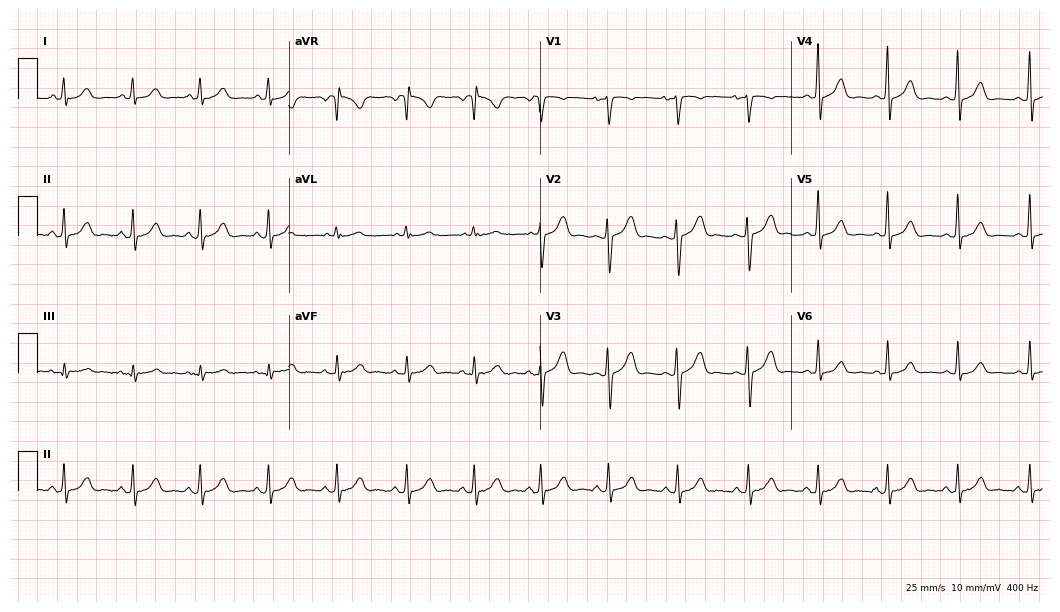
Electrocardiogram (10.2-second recording at 400 Hz), a 36-year-old female patient. Overall reading on record: normal ECG.